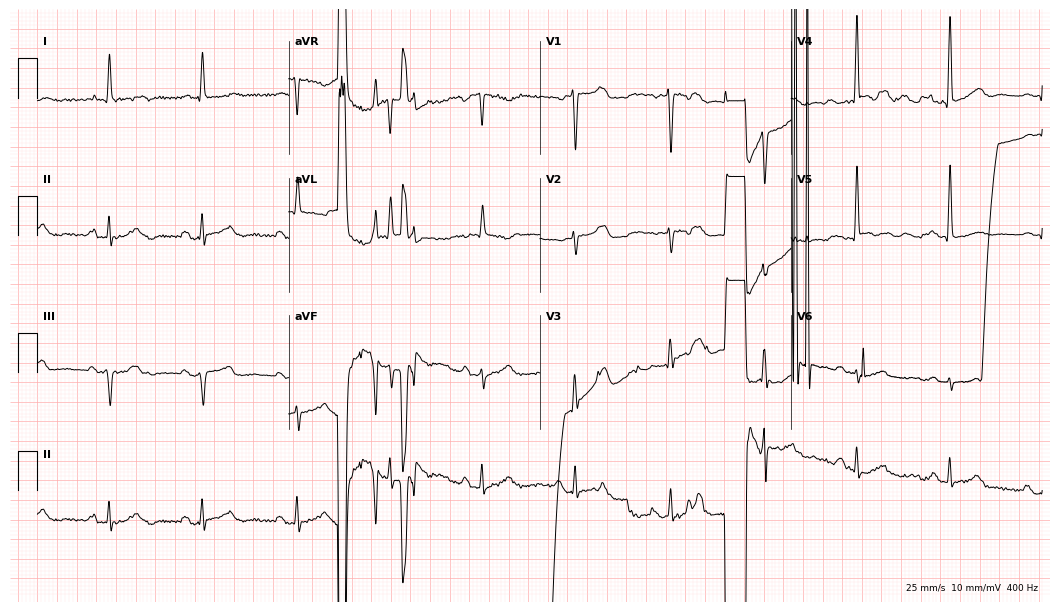
12-lead ECG from a female patient, 85 years old (10.2-second recording at 400 Hz). No first-degree AV block, right bundle branch block, left bundle branch block, sinus bradycardia, atrial fibrillation or sinus tachycardia recorded for this tracing. Only these six findings were labelled.